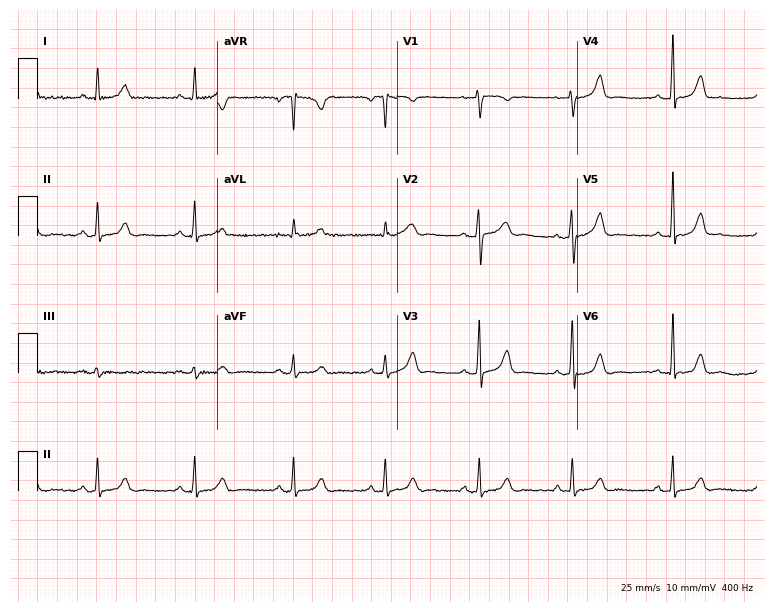
12-lead ECG from a 32-year-old female (7.3-second recording at 400 Hz). Recorded interpretation: within normal limits.